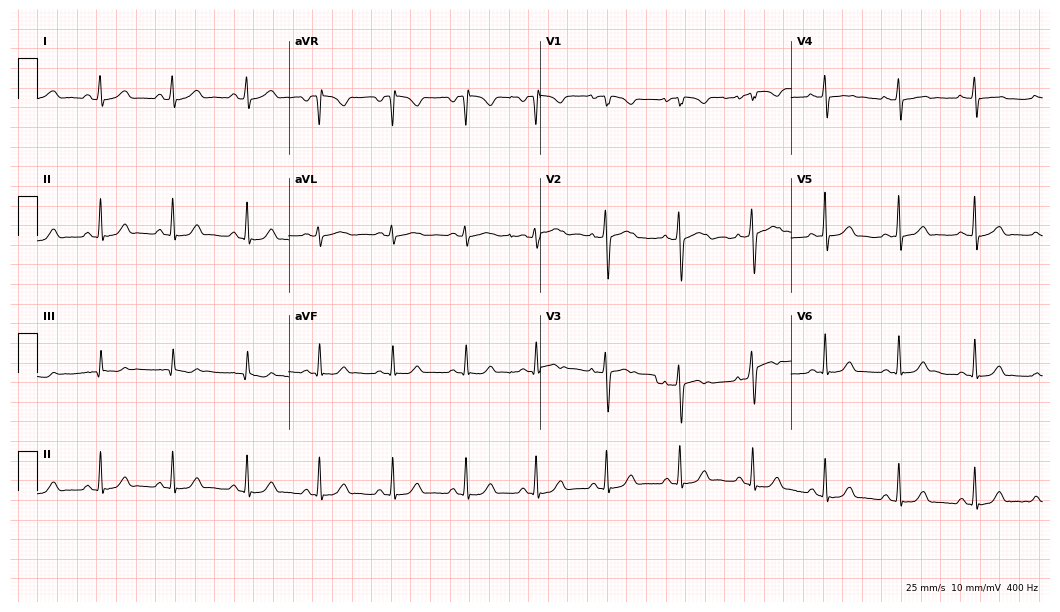
12-lead ECG from a 28-year-old woman. Recorded interpretation: within normal limits.